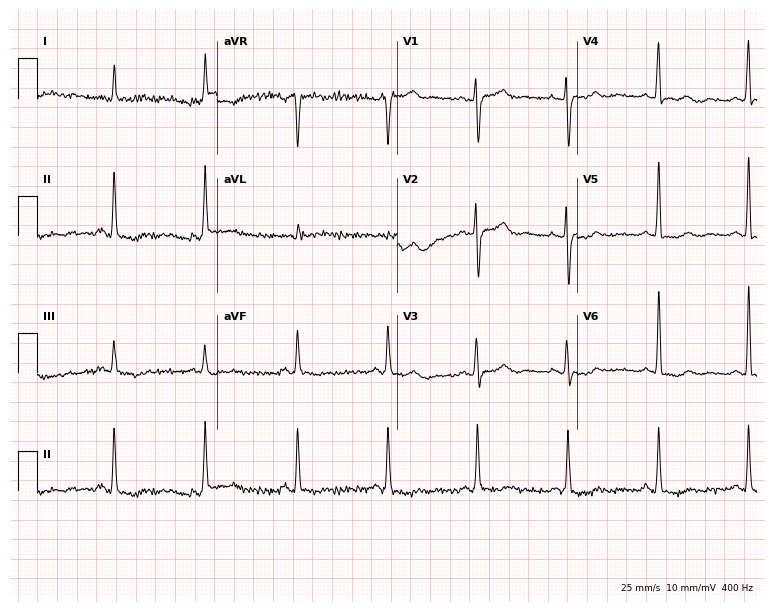
ECG — a woman, 68 years old. Screened for six findings — first-degree AV block, right bundle branch block (RBBB), left bundle branch block (LBBB), sinus bradycardia, atrial fibrillation (AF), sinus tachycardia — none is recorded. Only these six findings were labelled.